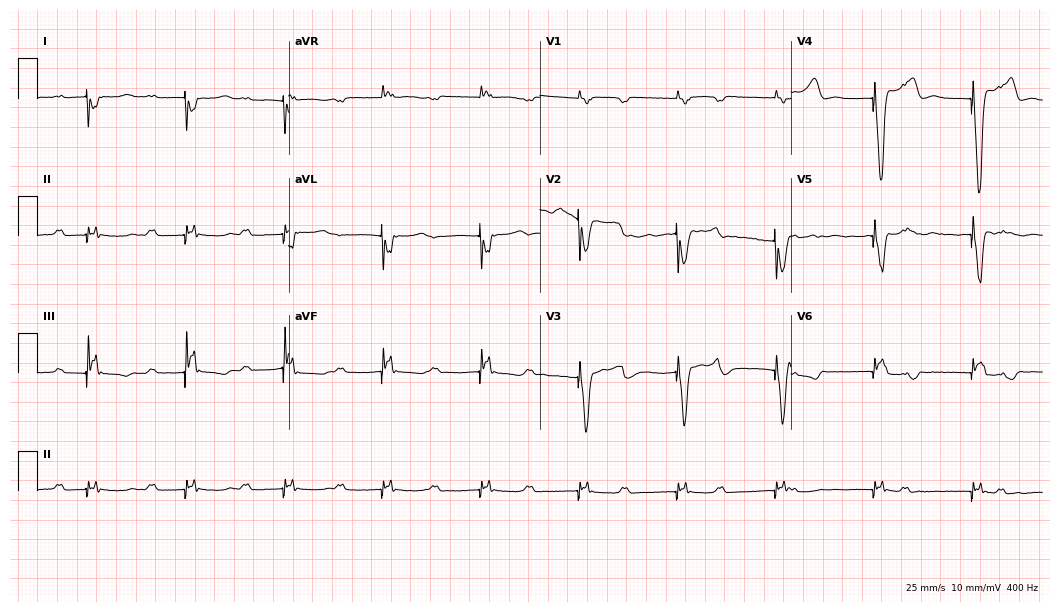
Electrocardiogram (10.2-second recording at 400 Hz), a woman, 85 years old. Of the six screened findings (first-degree AV block, right bundle branch block (RBBB), left bundle branch block (LBBB), sinus bradycardia, atrial fibrillation (AF), sinus tachycardia), none is recorded.